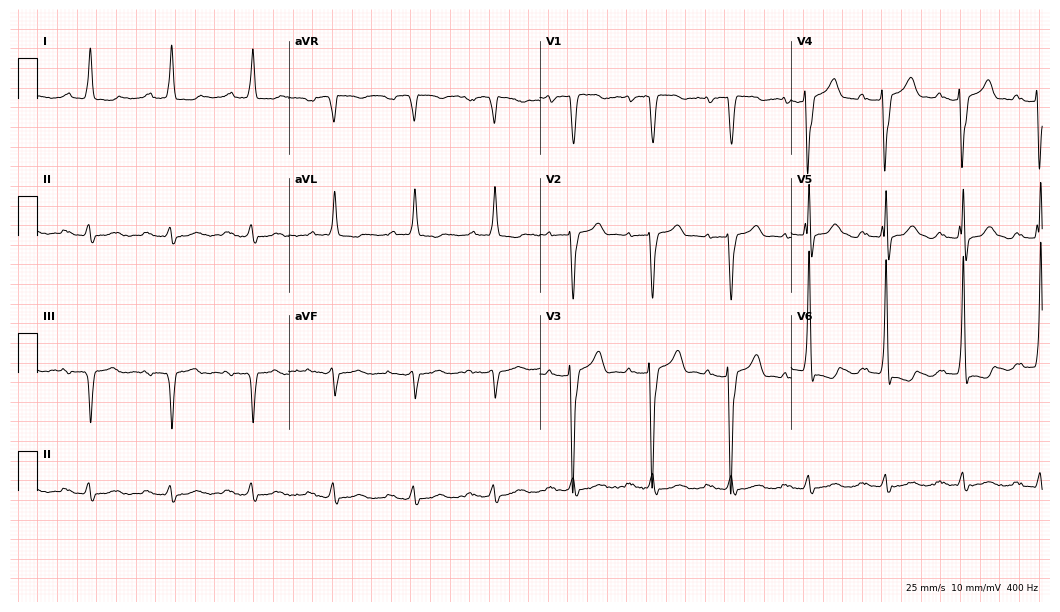
Standard 12-lead ECG recorded from a male patient, 64 years old. None of these six findings is recorded: first-degree AV block, right bundle branch block (RBBB), left bundle branch block (LBBB), sinus bradycardia, atrial fibrillation (AF), sinus tachycardia. Other findings, if any, are not listed.